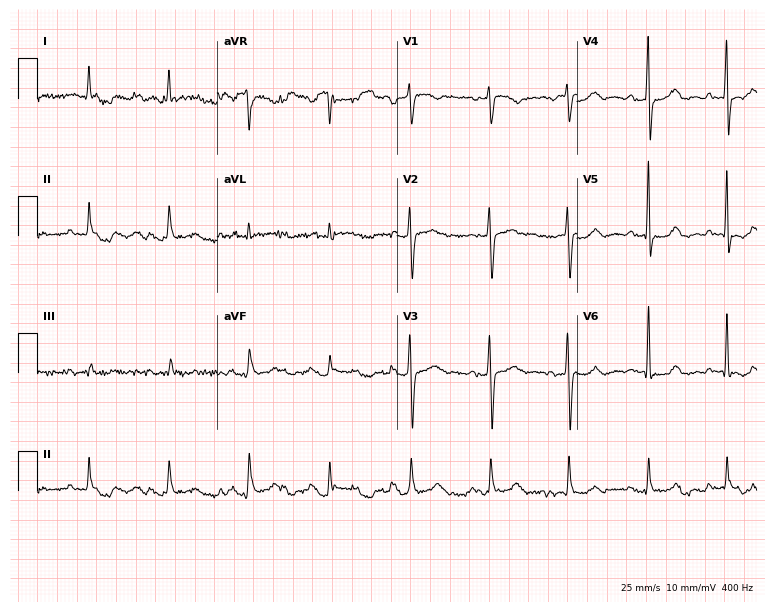
Resting 12-lead electrocardiogram. Patient: a male, 81 years old. None of these six findings is recorded: first-degree AV block, right bundle branch block, left bundle branch block, sinus bradycardia, atrial fibrillation, sinus tachycardia.